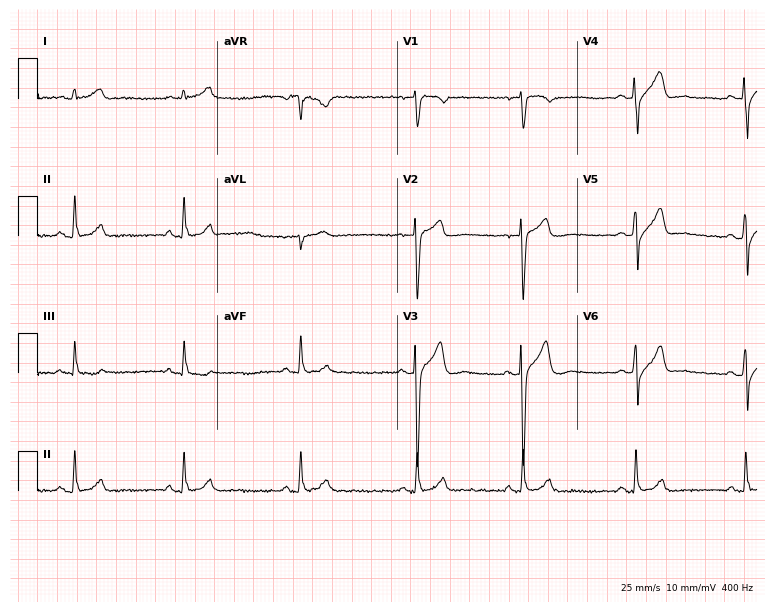
ECG — a 27-year-old man. Screened for six findings — first-degree AV block, right bundle branch block, left bundle branch block, sinus bradycardia, atrial fibrillation, sinus tachycardia — none is recorded. Findings outside these six are not listed.